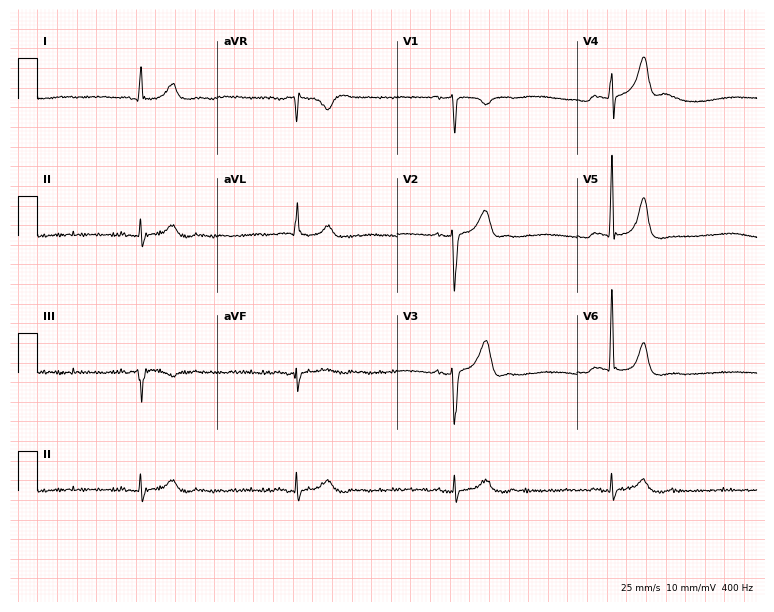
12-lead ECG (7.3-second recording at 400 Hz) from a male patient, 57 years old. Findings include sinus bradycardia (a sinus rate of 50 beats per minute or less).